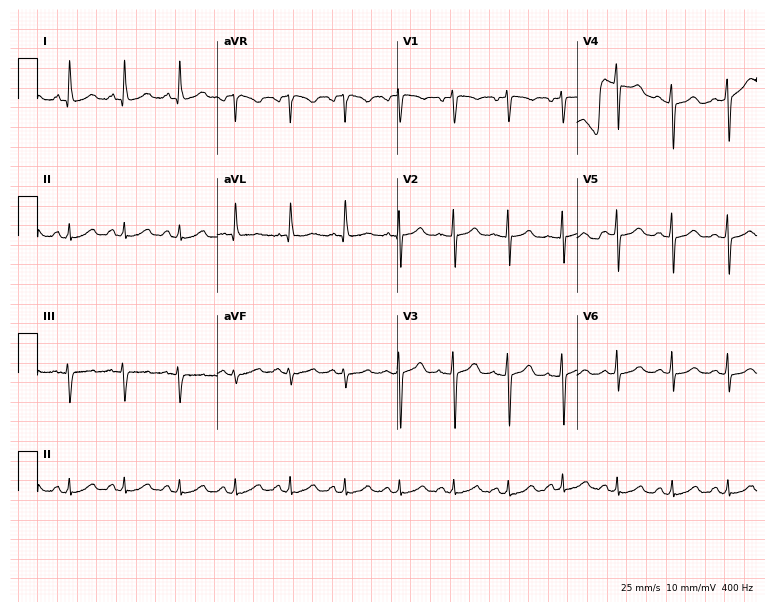
12-lead ECG from a 48-year-old female. Findings include sinus tachycardia (a sinus rate of 100 beats per minute or more).